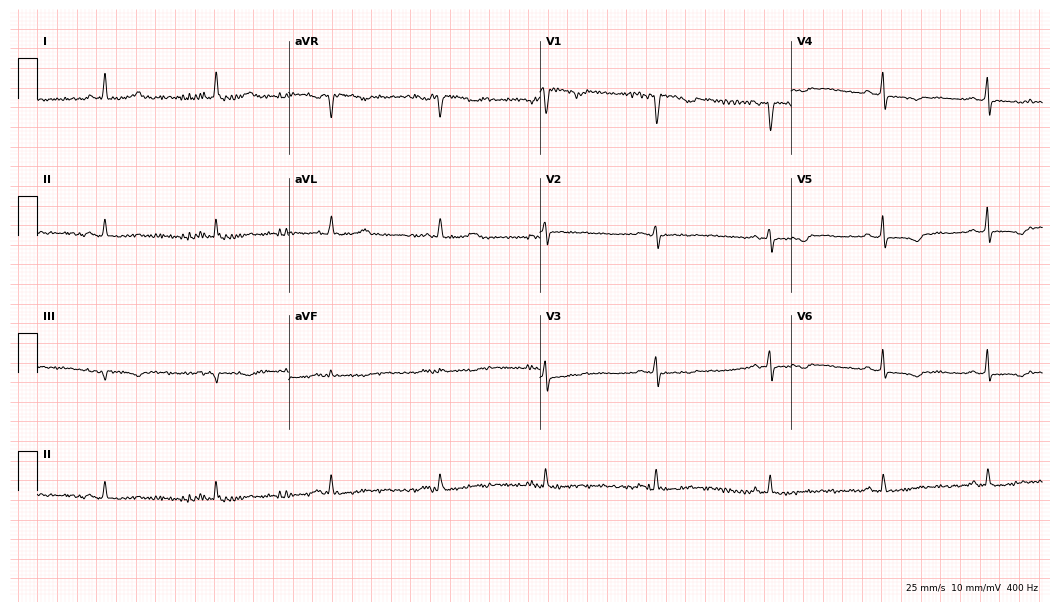
12-lead ECG from a 55-year-old female patient (10.2-second recording at 400 Hz). No first-degree AV block, right bundle branch block, left bundle branch block, sinus bradycardia, atrial fibrillation or sinus tachycardia recorded for this tracing. Only these six findings were labelled.